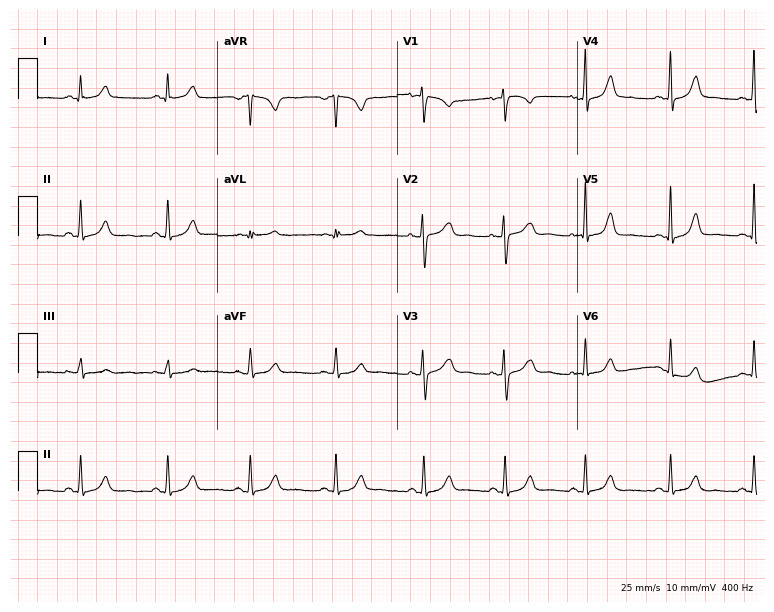
ECG — a 53-year-old female patient. Labelled as a normal ECG.